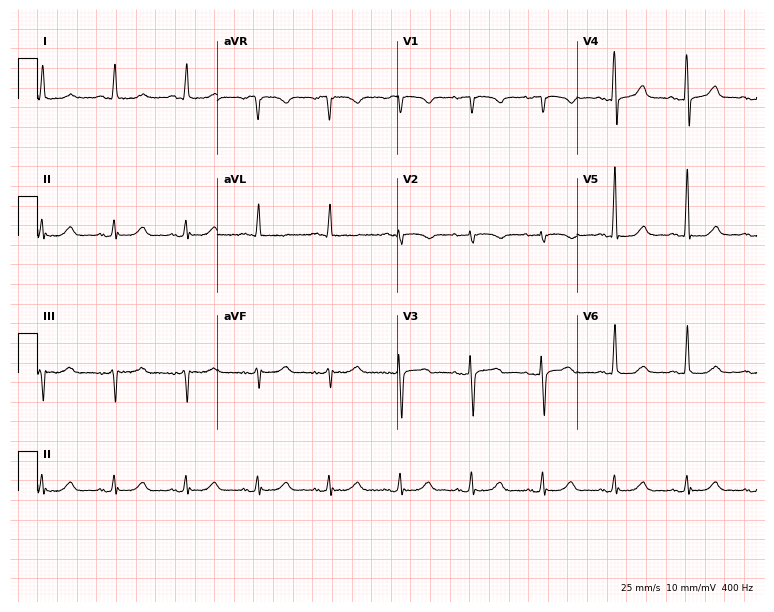
Standard 12-lead ECG recorded from a female, 73 years old (7.3-second recording at 400 Hz). None of these six findings is recorded: first-degree AV block, right bundle branch block (RBBB), left bundle branch block (LBBB), sinus bradycardia, atrial fibrillation (AF), sinus tachycardia.